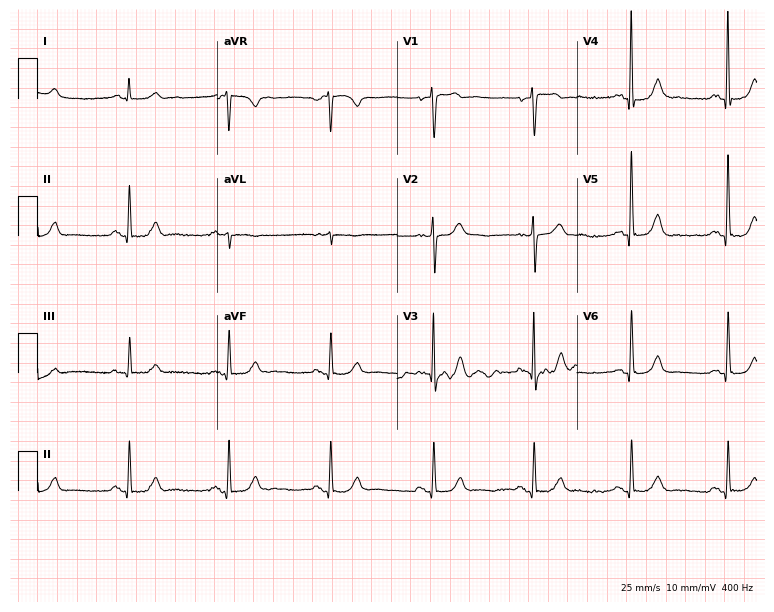
ECG — a man, 64 years old. Labelled as a normal ECG.